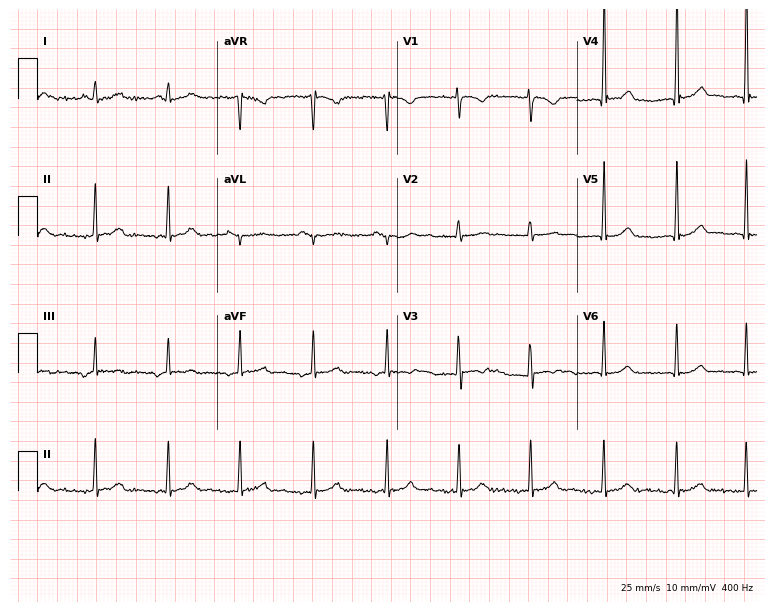
ECG — a female patient, 18 years old. Labelled as a normal ECG.